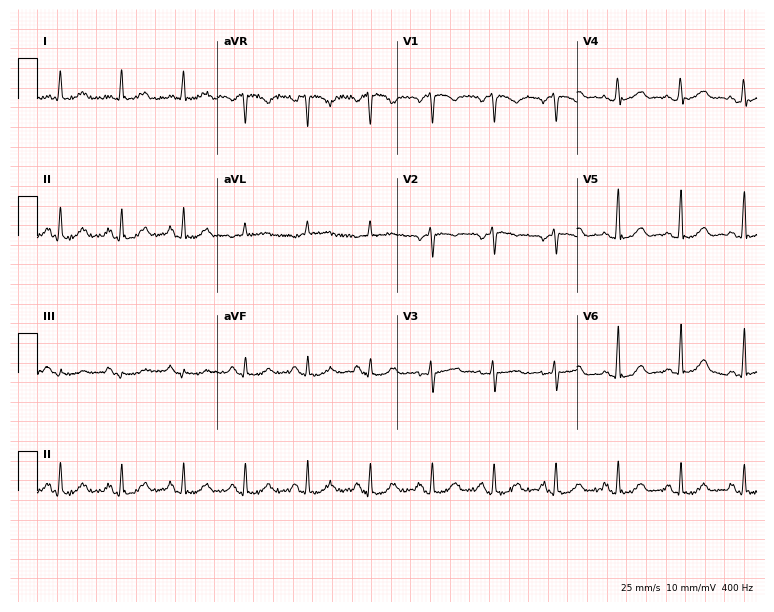
Electrocardiogram (7.3-second recording at 400 Hz), a woman, 53 years old. Of the six screened findings (first-degree AV block, right bundle branch block, left bundle branch block, sinus bradycardia, atrial fibrillation, sinus tachycardia), none is recorded. Other findings, if any, are not listed.